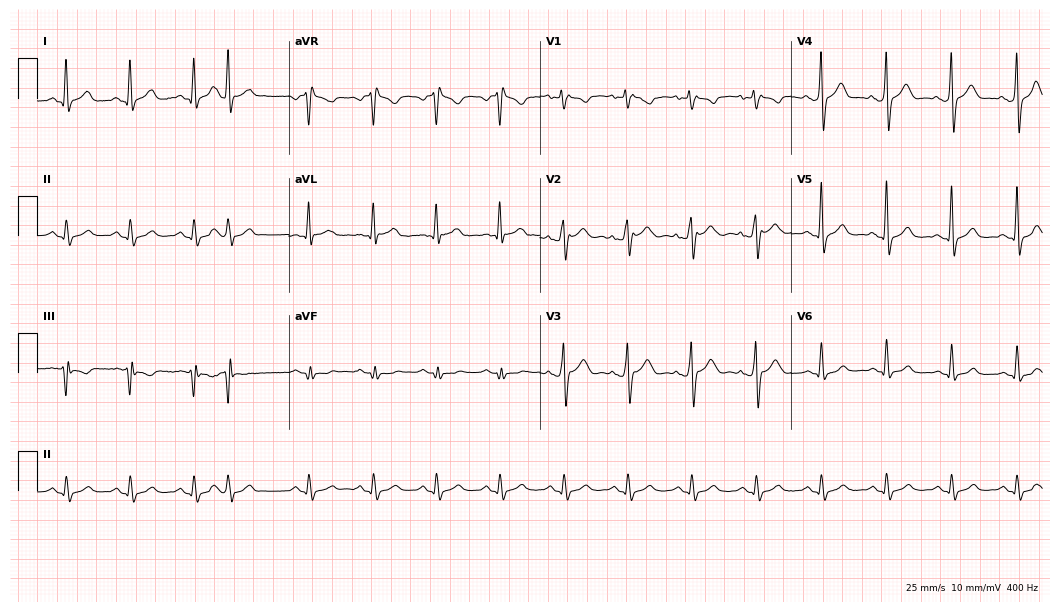
12-lead ECG from a 57-year-old male patient (10.2-second recording at 400 Hz). No first-degree AV block, right bundle branch block (RBBB), left bundle branch block (LBBB), sinus bradycardia, atrial fibrillation (AF) or sinus tachycardia recorded for this tracing.